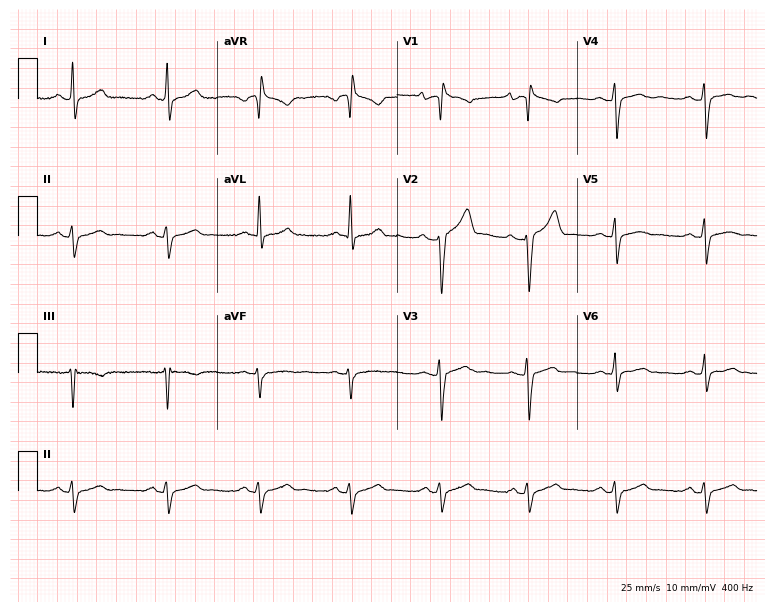
ECG (7.3-second recording at 400 Hz) — a female, 40 years old. Screened for six findings — first-degree AV block, right bundle branch block (RBBB), left bundle branch block (LBBB), sinus bradycardia, atrial fibrillation (AF), sinus tachycardia — none is recorded.